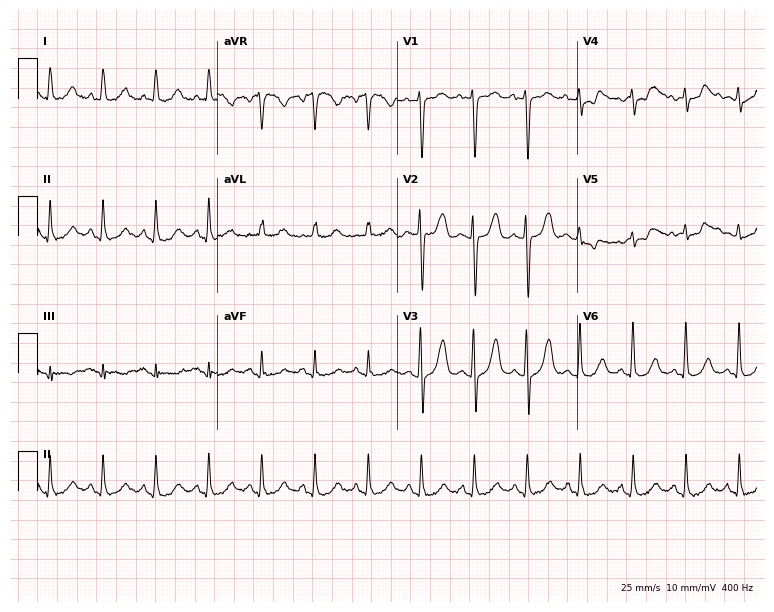
12-lead ECG (7.3-second recording at 400 Hz) from a female patient, 54 years old. Findings include sinus tachycardia (a sinus rate of 100 beats per minute or more).